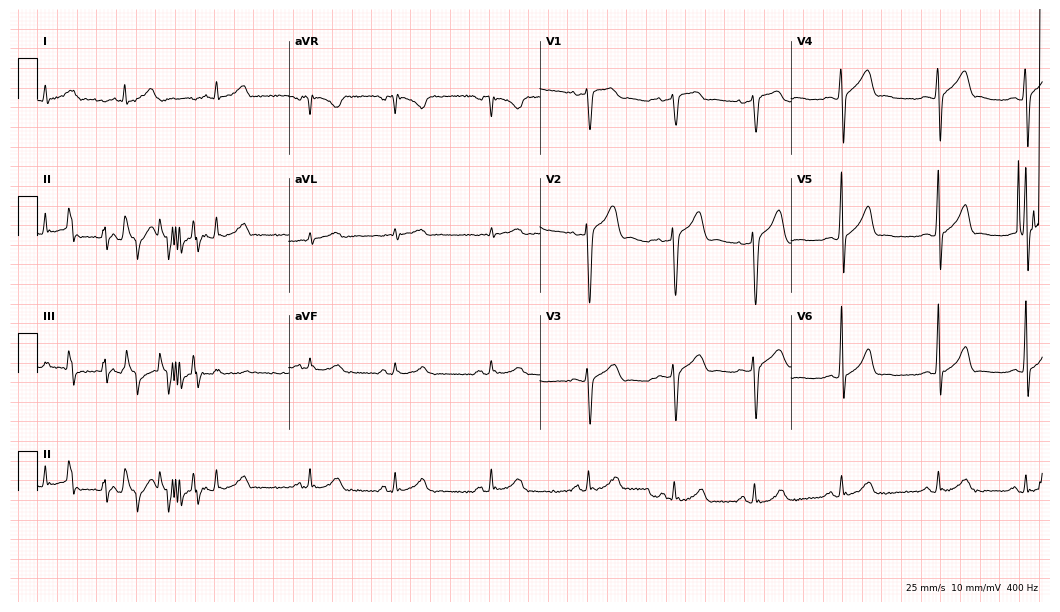
Standard 12-lead ECG recorded from a 22-year-old male. None of these six findings is recorded: first-degree AV block, right bundle branch block, left bundle branch block, sinus bradycardia, atrial fibrillation, sinus tachycardia. Only these six findings were labelled.